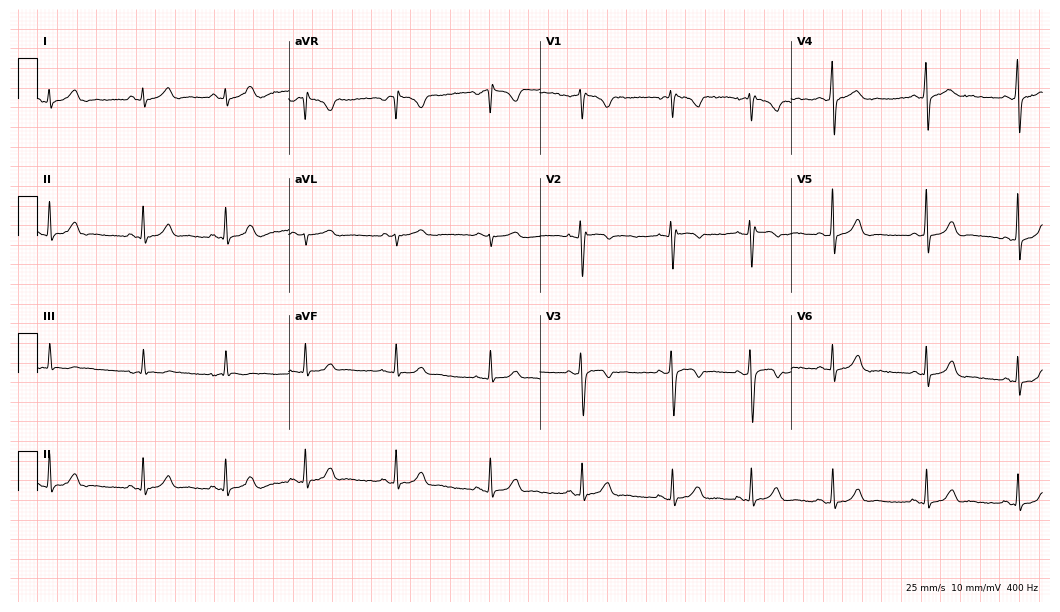
Standard 12-lead ECG recorded from a 17-year-old female patient (10.2-second recording at 400 Hz). Read as a normal ECG.